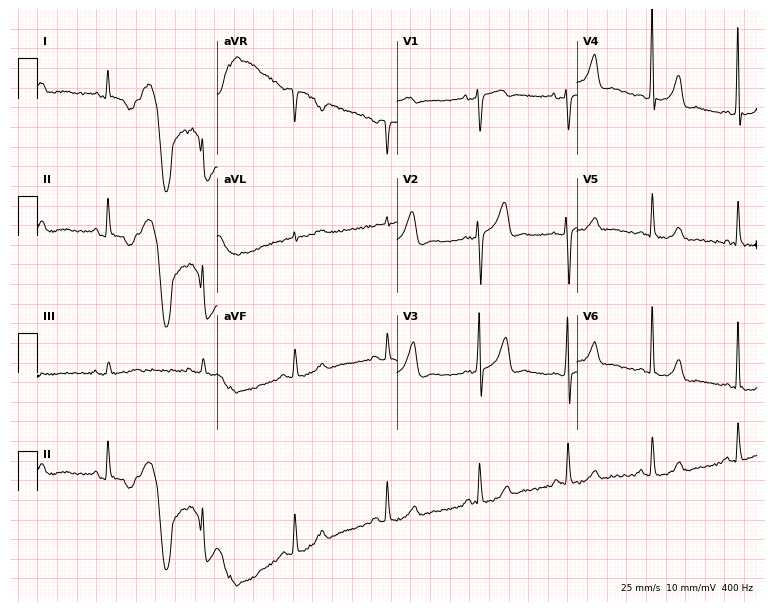
12-lead ECG from a male patient, 56 years old. Screened for six findings — first-degree AV block, right bundle branch block (RBBB), left bundle branch block (LBBB), sinus bradycardia, atrial fibrillation (AF), sinus tachycardia — none is recorded. Findings outside these six are not listed.